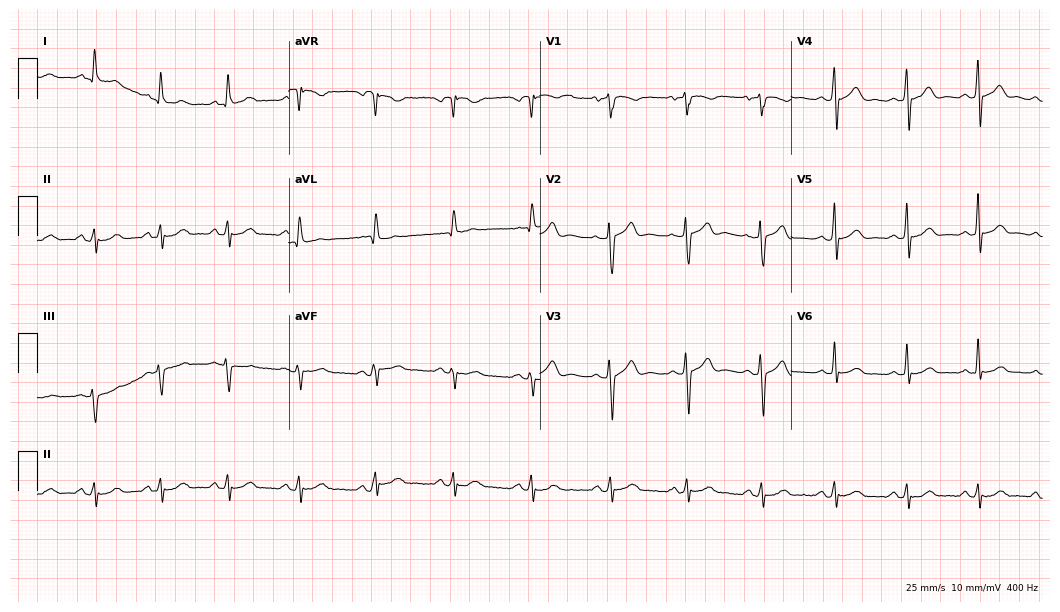
12-lead ECG from a 58-year-old male (10.2-second recording at 400 Hz). Recorded interpretation: within normal limits.